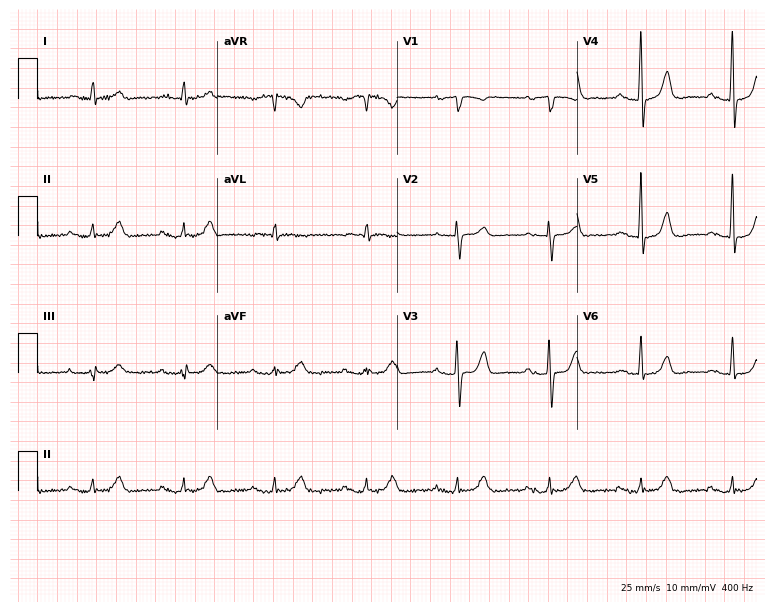
Resting 12-lead electrocardiogram. Patient: an 81-year-old male. Read as a normal ECG.